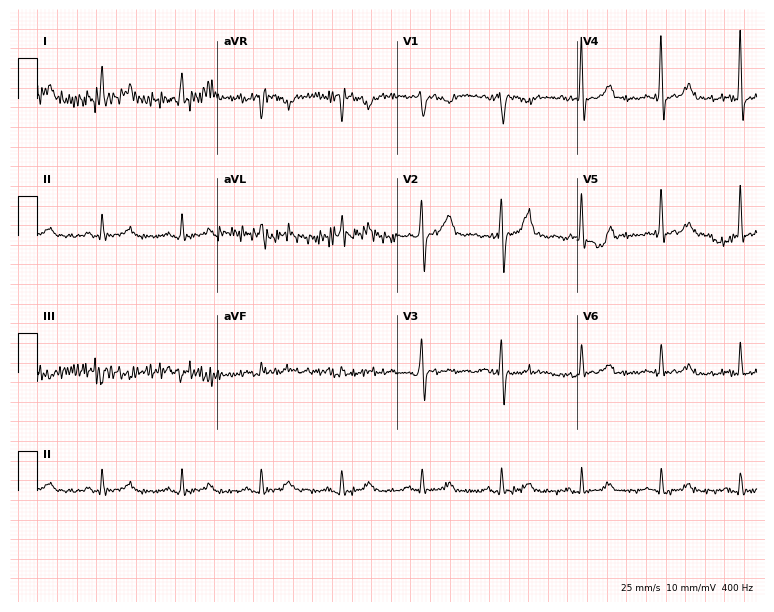
Resting 12-lead electrocardiogram. Patient: a 55-year-old man. None of these six findings is recorded: first-degree AV block, right bundle branch block, left bundle branch block, sinus bradycardia, atrial fibrillation, sinus tachycardia.